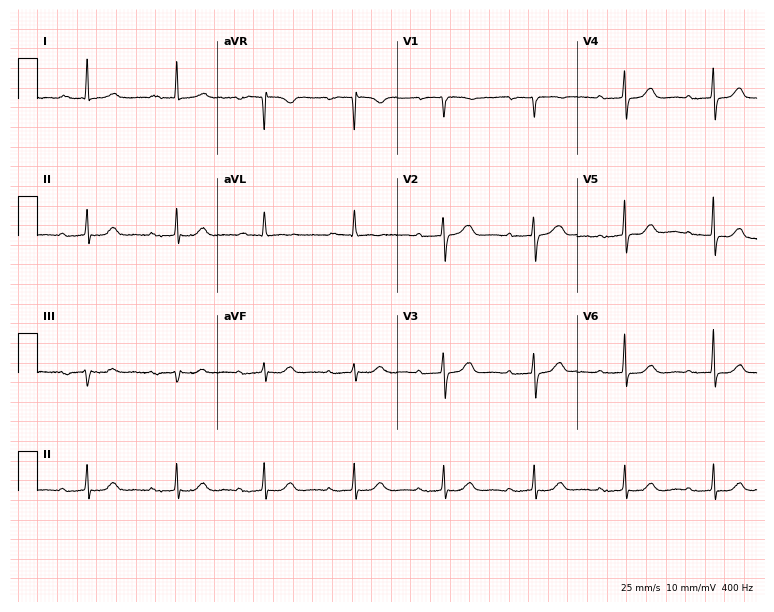
12-lead ECG from a female, 83 years old. Shows first-degree AV block.